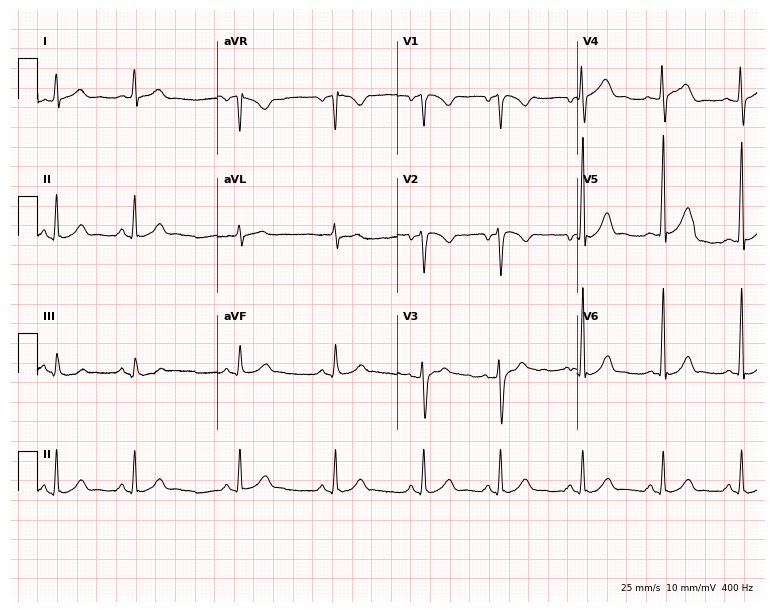
12-lead ECG (7.3-second recording at 400 Hz) from a male, 35 years old. Screened for six findings — first-degree AV block, right bundle branch block, left bundle branch block, sinus bradycardia, atrial fibrillation, sinus tachycardia — none is recorded. Findings outside these six are not listed.